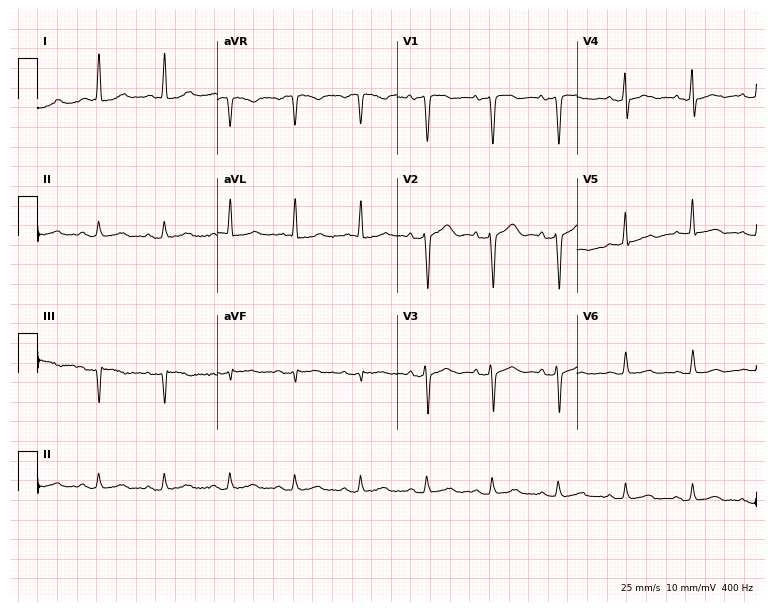
12-lead ECG from an 85-year-old man (7.3-second recording at 400 Hz). No first-degree AV block, right bundle branch block, left bundle branch block, sinus bradycardia, atrial fibrillation or sinus tachycardia recorded for this tracing.